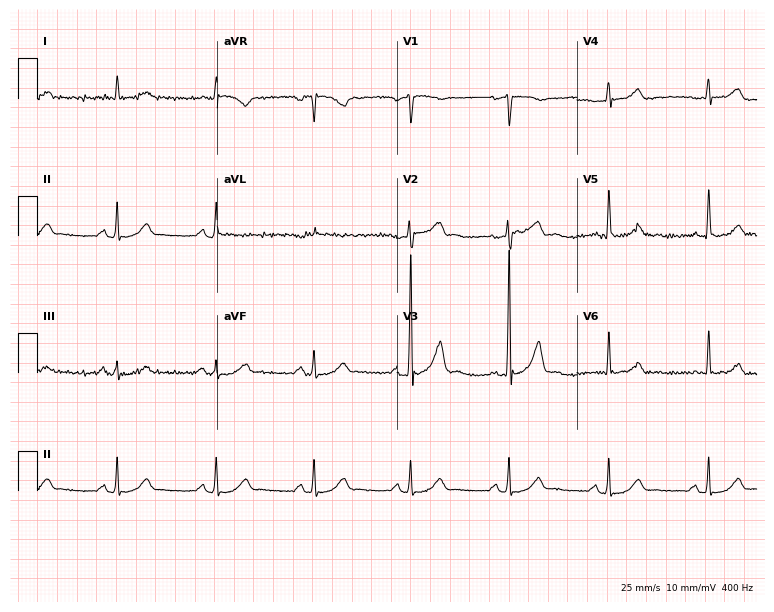
12-lead ECG from a 60-year-old male patient. Labelled as a normal ECG.